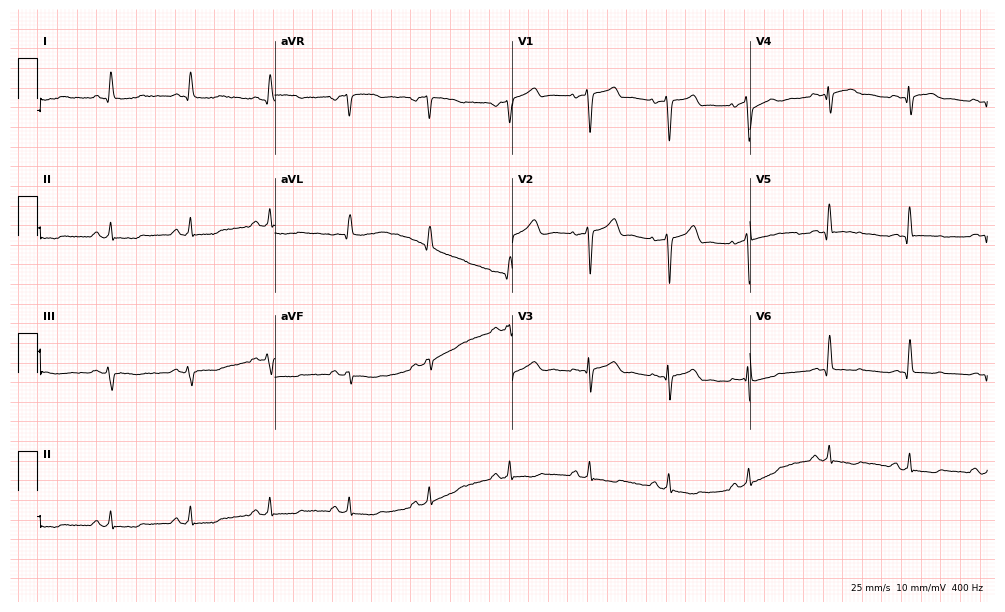
Resting 12-lead electrocardiogram (9.7-second recording at 400 Hz). Patient: a 78-year-old male. None of these six findings is recorded: first-degree AV block, right bundle branch block (RBBB), left bundle branch block (LBBB), sinus bradycardia, atrial fibrillation (AF), sinus tachycardia. Only these six findings were labelled.